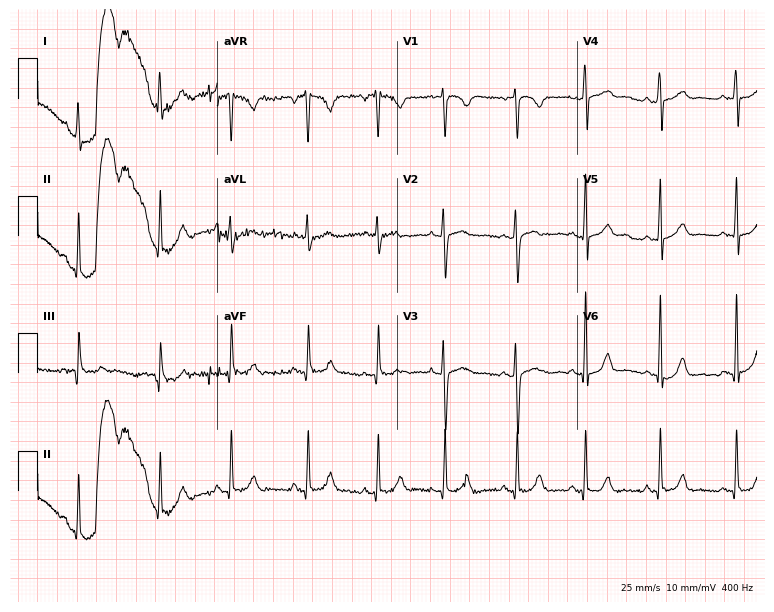
12-lead ECG from a 37-year-old female. Screened for six findings — first-degree AV block, right bundle branch block (RBBB), left bundle branch block (LBBB), sinus bradycardia, atrial fibrillation (AF), sinus tachycardia — none is recorded. Other findings, if any, are not listed.